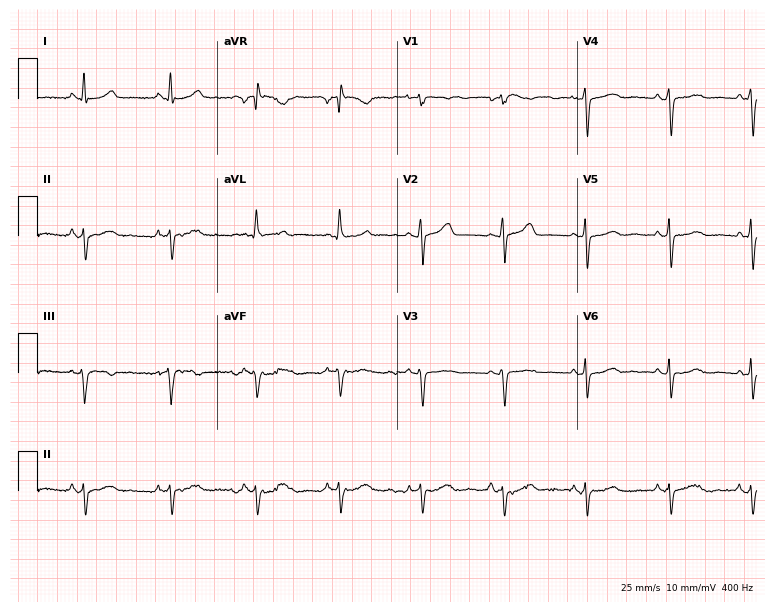
ECG (7.3-second recording at 400 Hz) — a woman, 48 years old. Screened for six findings — first-degree AV block, right bundle branch block, left bundle branch block, sinus bradycardia, atrial fibrillation, sinus tachycardia — none is recorded. Only these six findings were labelled.